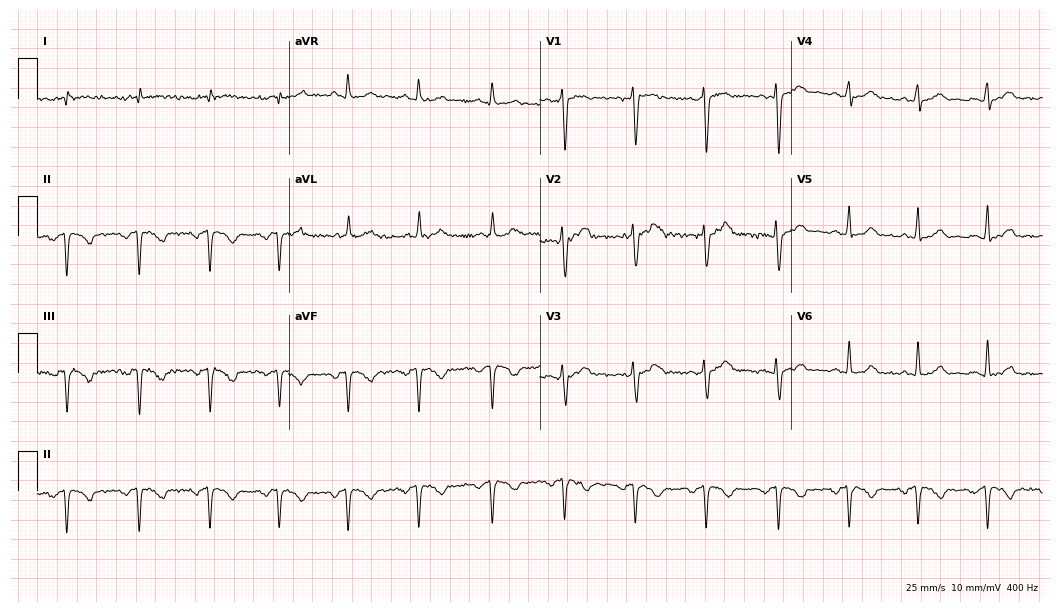
12-lead ECG from a woman, 38 years old (10.2-second recording at 400 Hz). No first-degree AV block, right bundle branch block, left bundle branch block, sinus bradycardia, atrial fibrillation or sinus tachycardia recorded for this tracing.